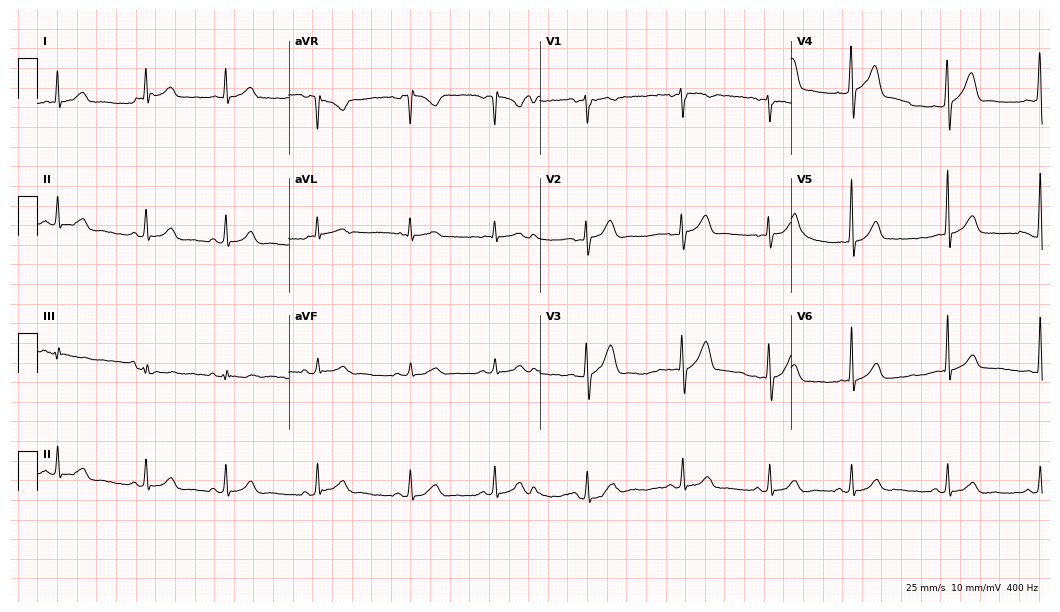
Resting 12-lead electrocardiogram (10.2-second recording at 400 Hz). Patient: a male, 32 years old. Read as a normal ECG.